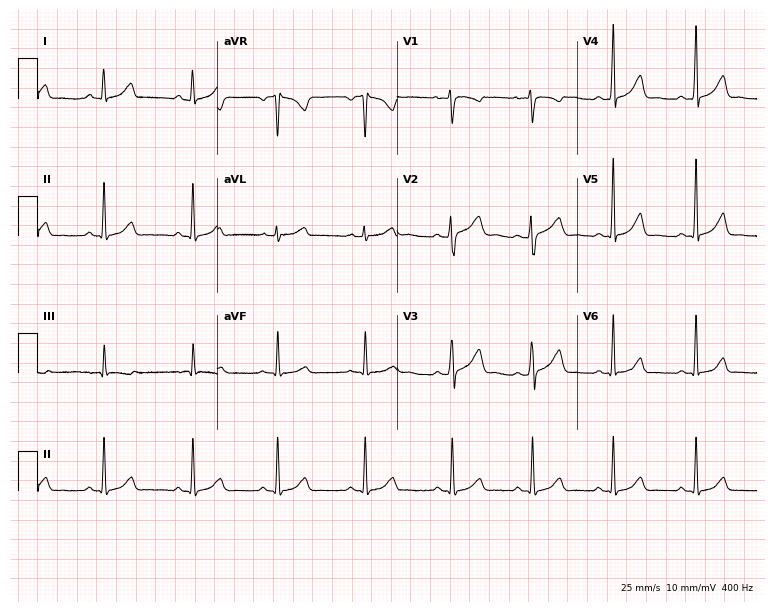
Electrocardiogram (7.3-second recording at 400 Hz), a 28-year-old female. Overall reading on record: normal ECG.